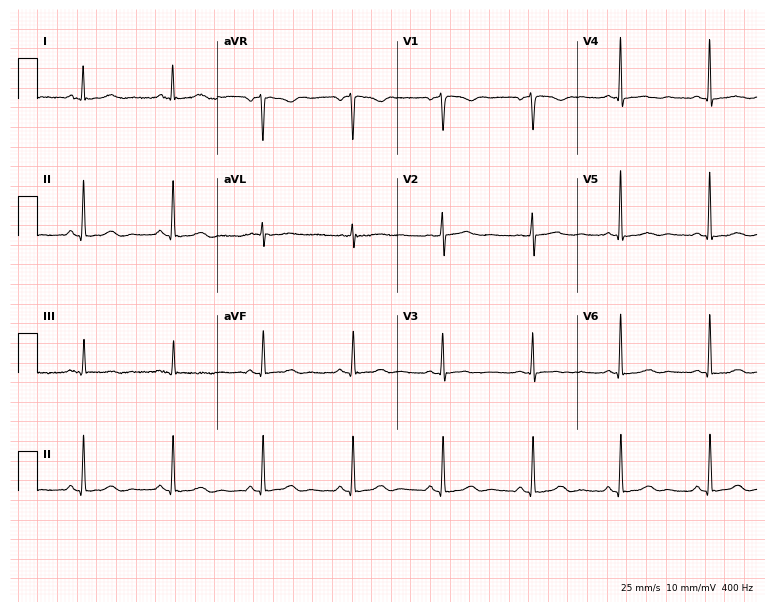
Standard 12-lead ECG recorded from a 51-year-old female (7.3-second recording at 400 Hz). Read as a normal ECG.